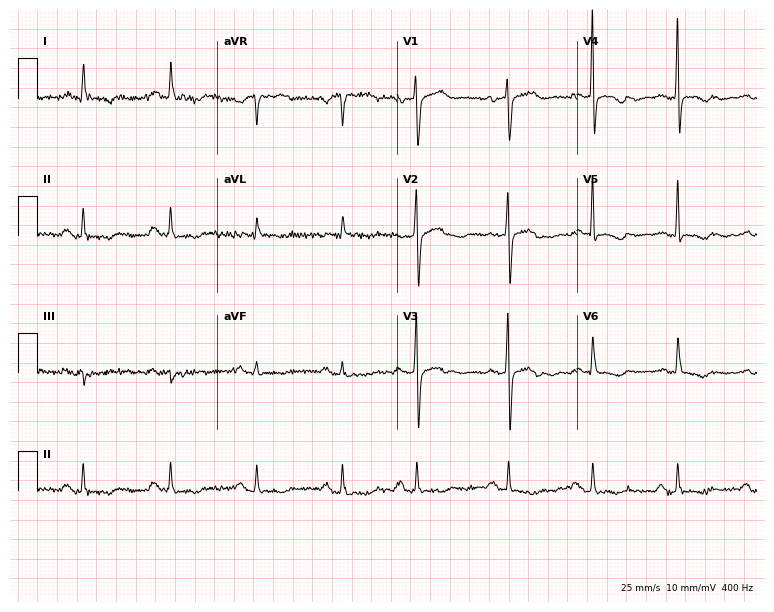
12-lead ECG from a woman, 73 years old. Screened for six findings — first-degree AV block, right bundle branch block, left bundle branch block, sinus bradycardia, atrial fibrillation, sinus tachycardia — none is recorded. Only these six findings were labelled.